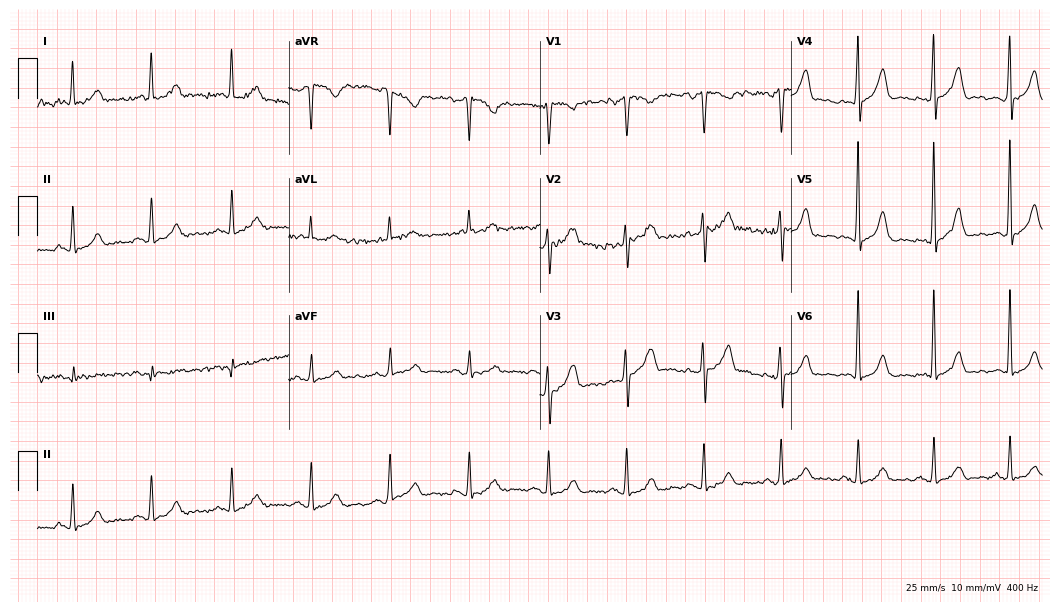
Electrocardiogram (10.2-second recording at 400 Hz), a 69-year-old man. Of the six screened findings (first-degree AV block, right bundle branch block, left bundle branch block, sinus bradycardia, atrial fibrillation, sinus tachycardia), none is recorded.